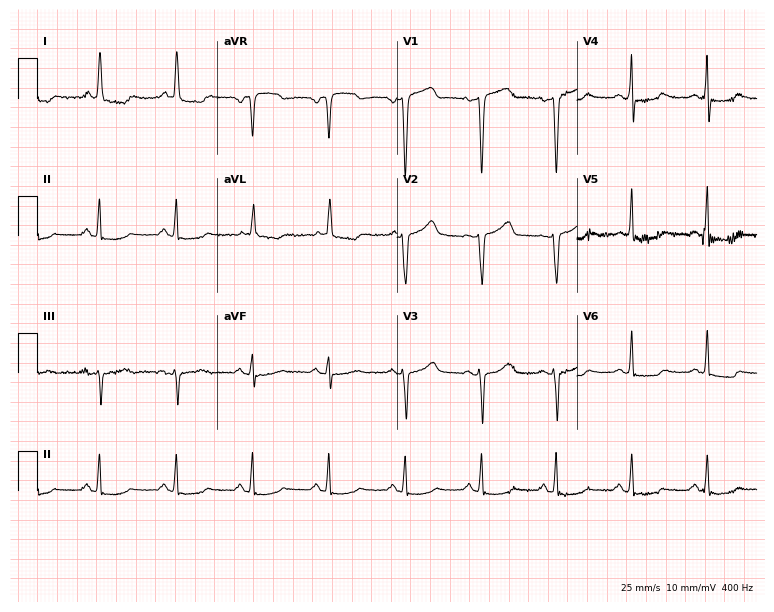
Electrocardiogram, a female patient, 69 years old. Of the six screened findings (first-degree AV block, right bundle branch block (RBBB), left bundle branch block (LBBB), sinus bradycardia, atrial fibrillation (AF), sinus tachycardia), none is recorded.